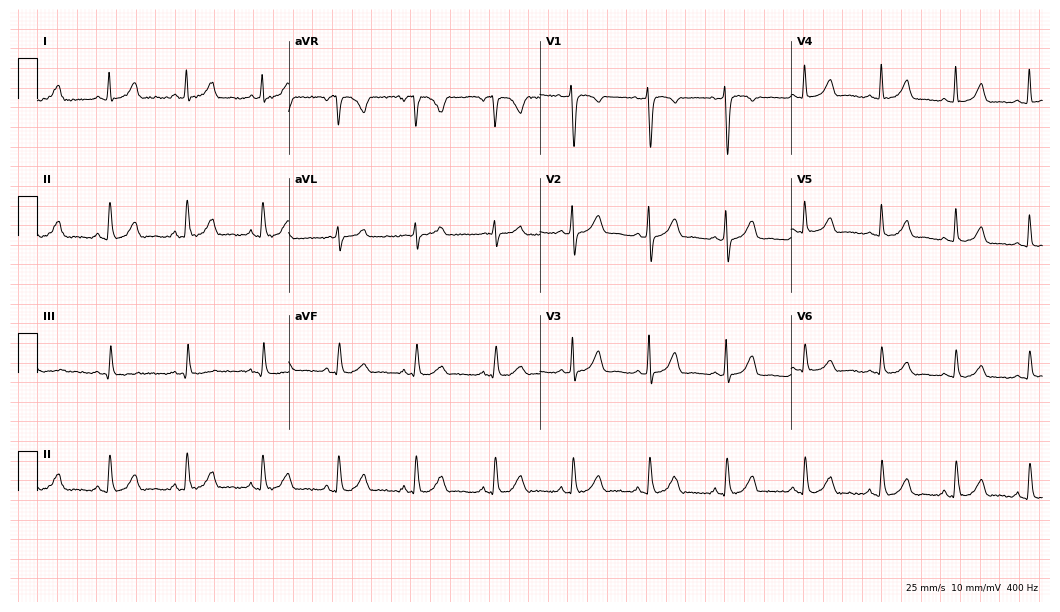
Electrocardiogram, a 47-year-old female. Overall reading on record: normal ECG.